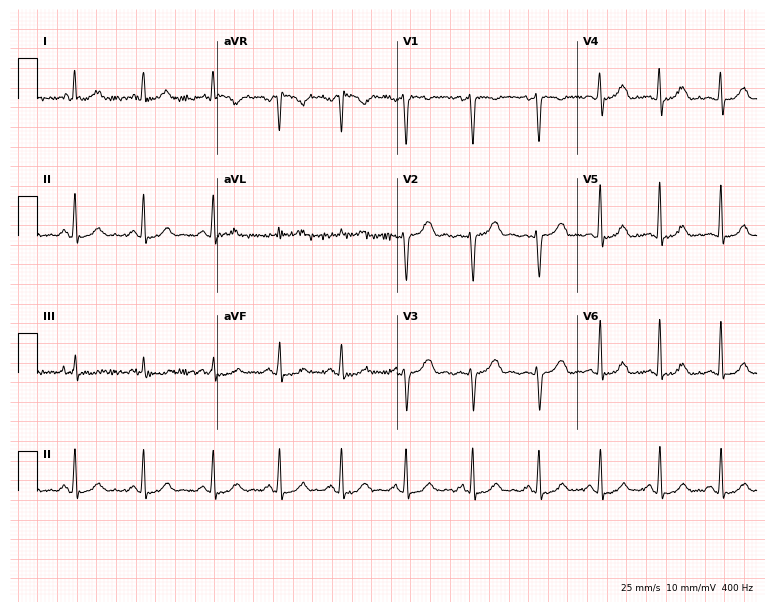
12-lead ECG from a 32-year-old woman. Labelled as a normal ECG.